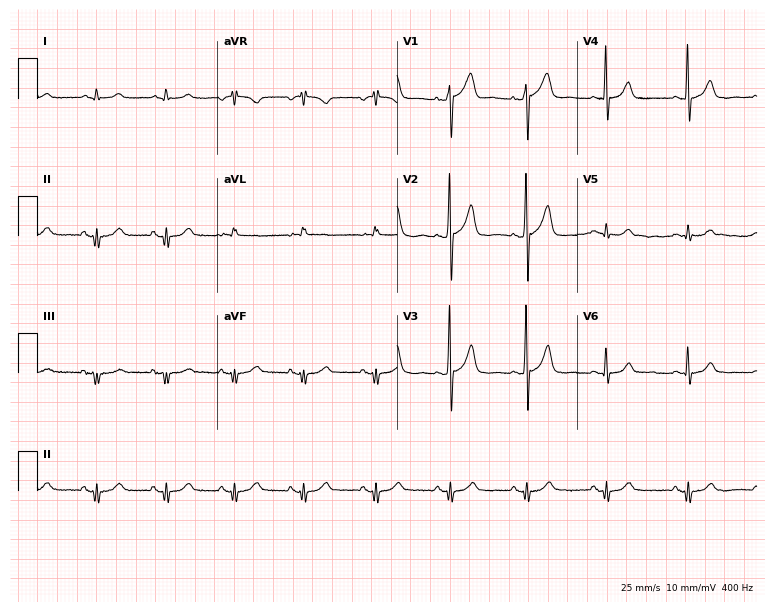
ECG — a man, 66 years old. Labelled as a normal ECG.